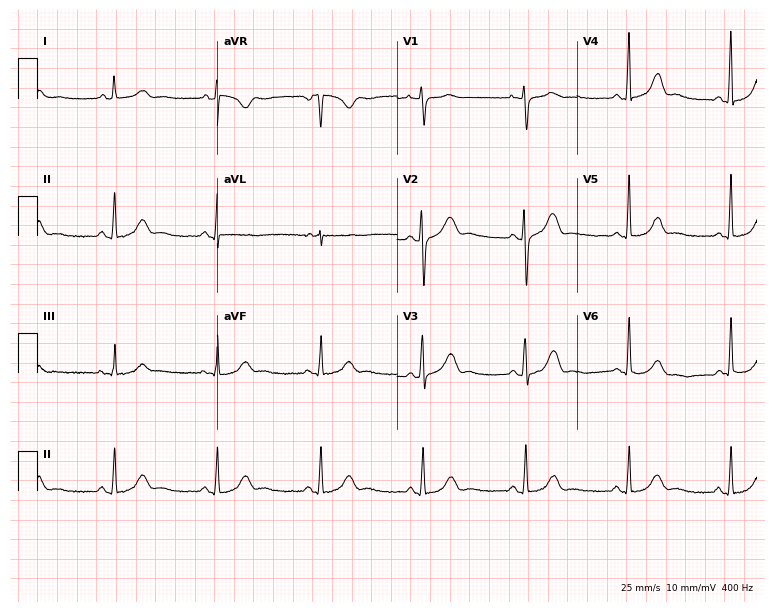
Electrocardiogram, a female patient, 42 years old. Overall reading on record: normal ECG.